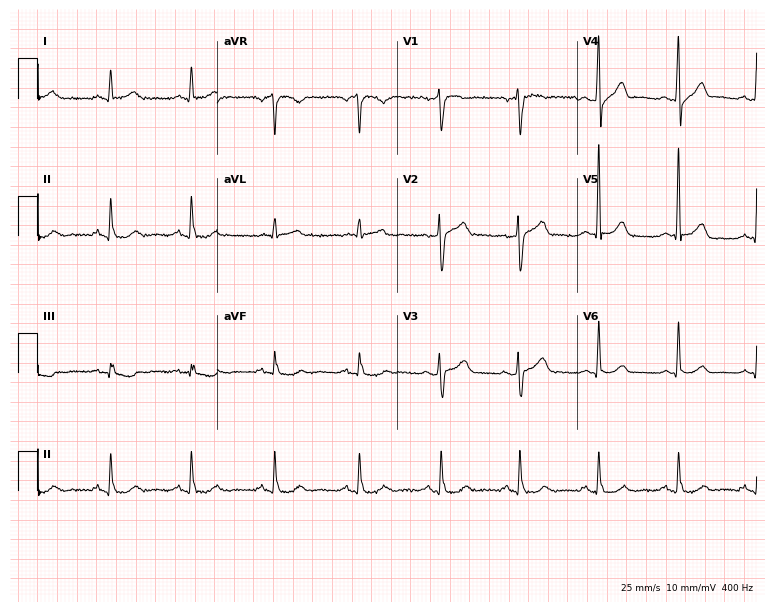
Standard 12-lead ECG recorded from a male, 59 years old (7.3-second recording at 400 Hz). None of these six findings is recorded: first-degree AV block, right bundle branch block, left bundle branch block, sinus bradycardia, atrial fibrillation, sinus tachycardia.